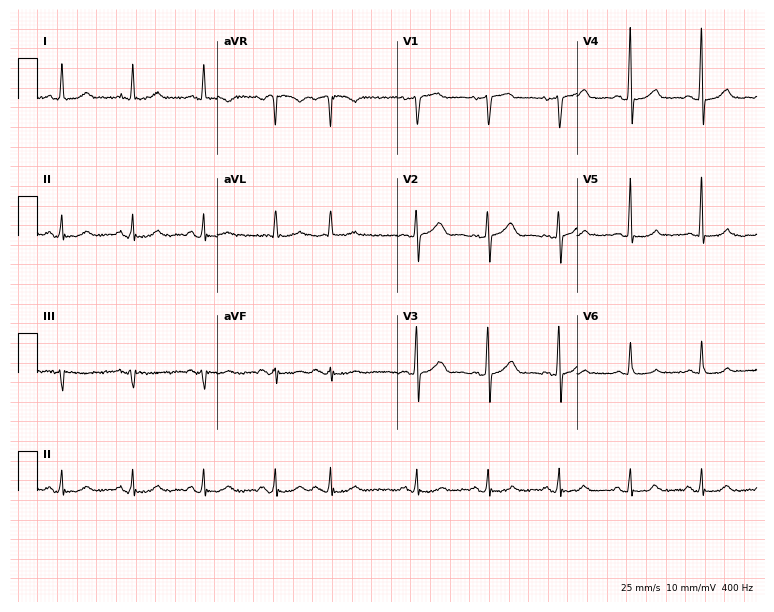
Standard 12-lead ECG recorded from a 58-year-old female. None of these six findings is recorded: first-degree AV block, right bundle branch block (RBBB), left bundle branch block (LBBB), sinus bradycardia, atrial fibrillation (AF), sinus tachycardia.